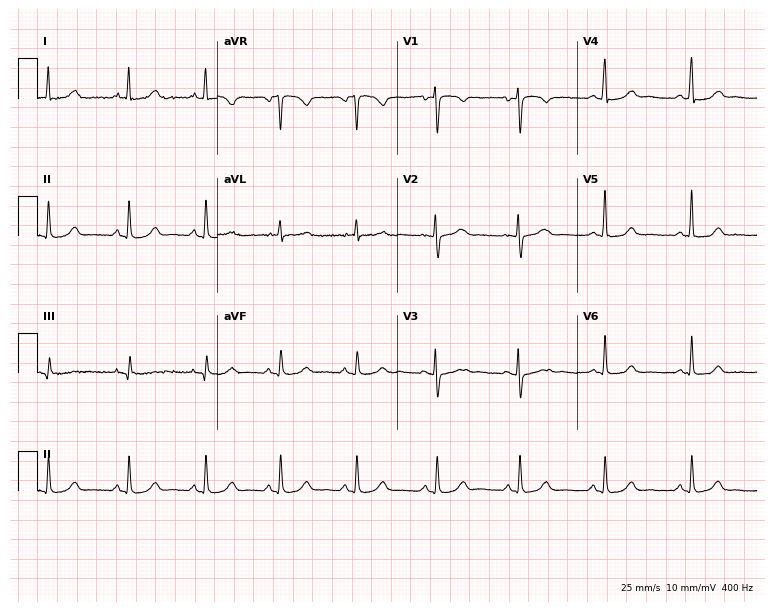
Electrocardiogram (7.3-second recording at 400 Hz), a woman, 47 years old. Overall reading on record: normal ECG.